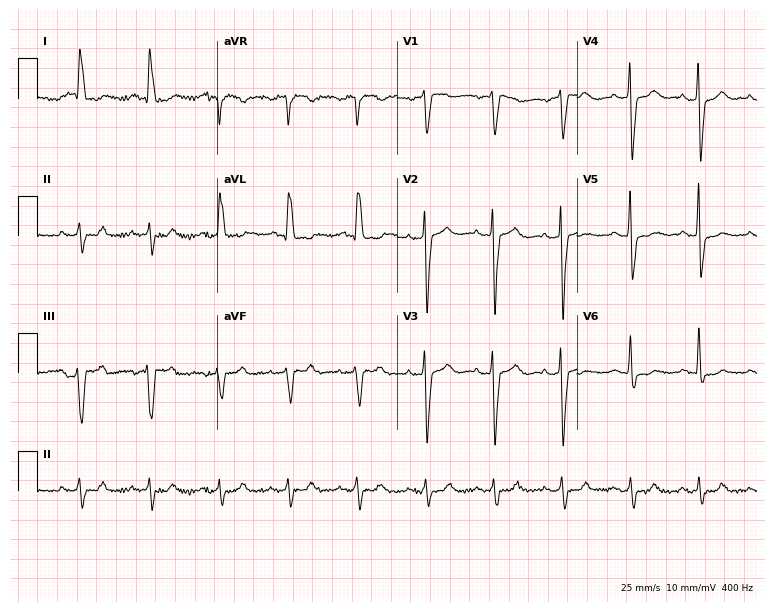
Electrocardiogram, a female, 78 years old. Of the six screened findings (first-degree AV block, right bundle branch block (RBBB), left bundle branch block (LBBB), sinus bradycardia, atrial fibrillation (AF), sinus tachycardia), none is recorded.